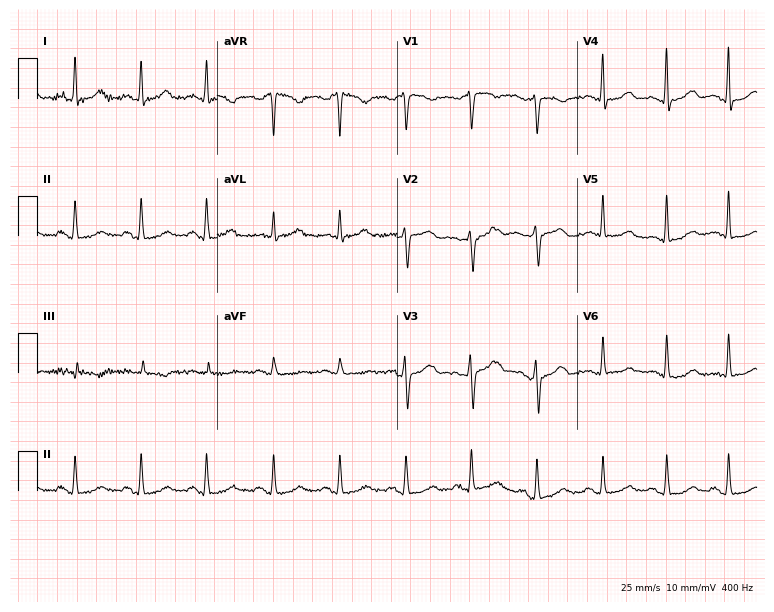
ECG — a female, 47 years old. Labelled as a normal ECG.